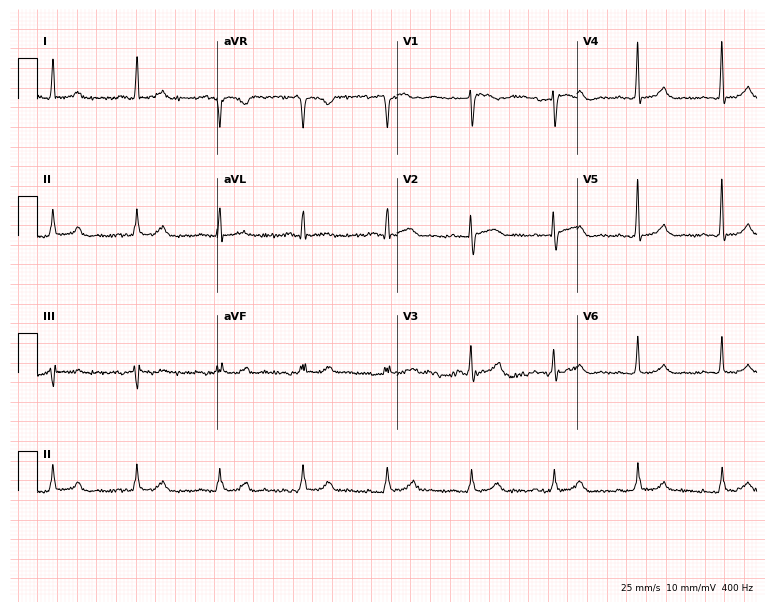
ECG — a 70-year-old female. Labelled as a normal ECG.